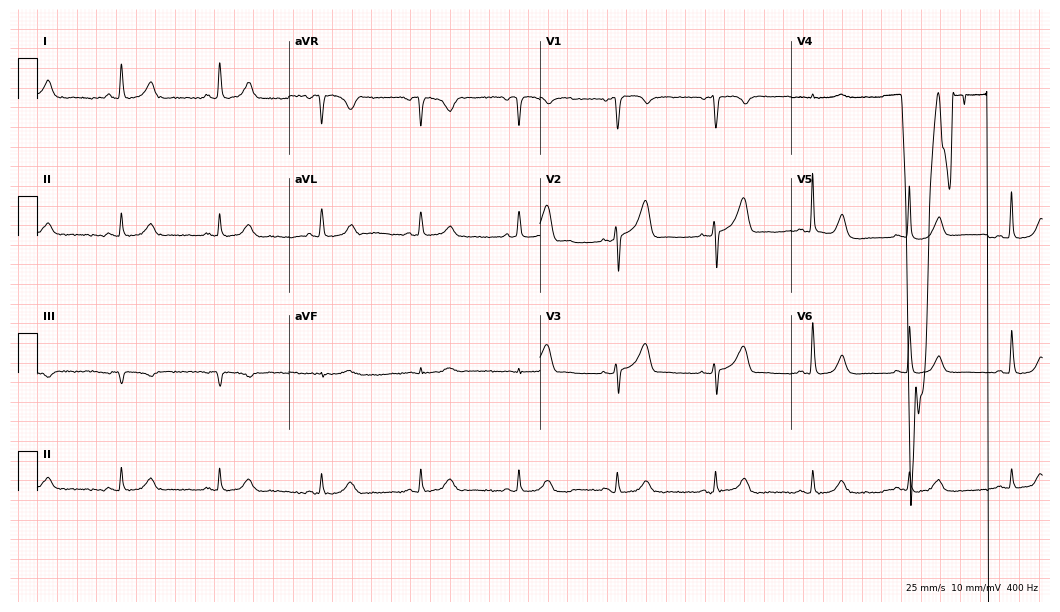
12-lead ECG from a woman, 72 years old (10.2-second recording at 400 Hz). No first-degree AV block, right bundle branch block, left bundle branch block, sinus bradycardia, atrial fibrillation or sinus tachycardia recorded for this tracing. Other findings, if any, are not listed.